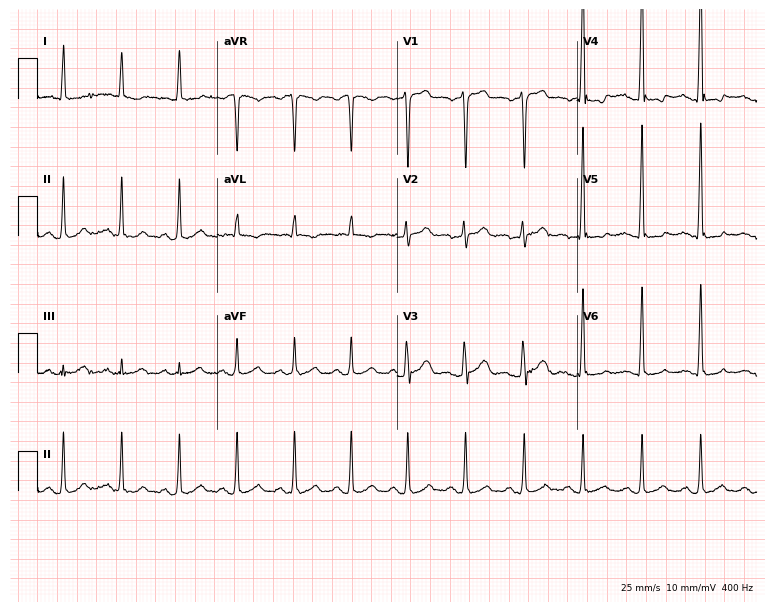
Electrocardiogram (7.3-second recording at 400 Hz), a man, 54 years old. Interpretation includes sinus tachycardia (a sinus rate of 100 beats per minute or more).